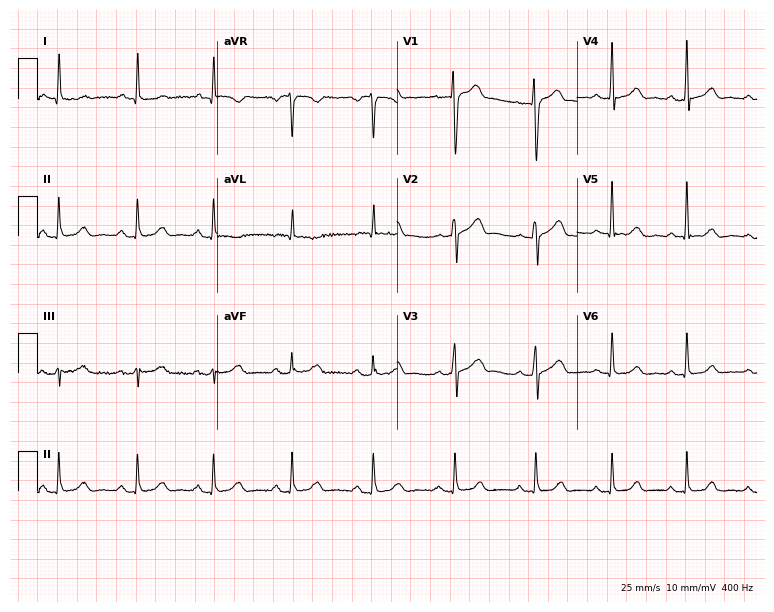
Resting 12-lead electrocardiogram (7.3-second recording at 400 Hz). Patient: a 53-year-old female. None of these six findings is recorded: first-degree AV block, right bundle branch block, left bundle branch block, sinus bradycardia, atrial fibrillation, sinus tachycardia.